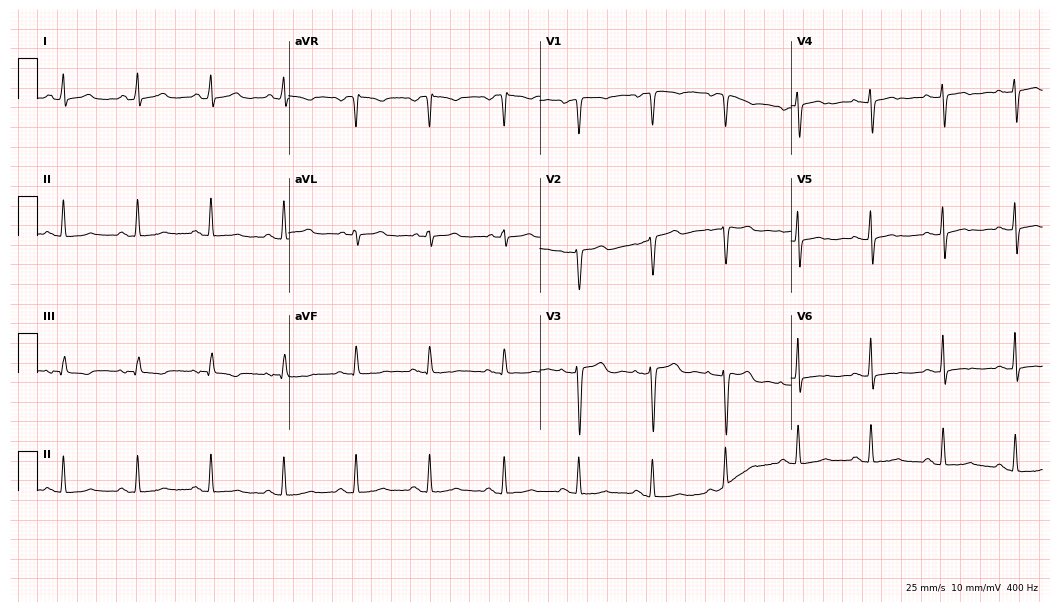
Electrocardiogram, a 48-year-old female patient. Of the six screened findings (first-degree AV block, right bundle branch block, left bundle branch block, sinus bradycardia, atrial fibrillation, sinus tachycardia), none is recorded.